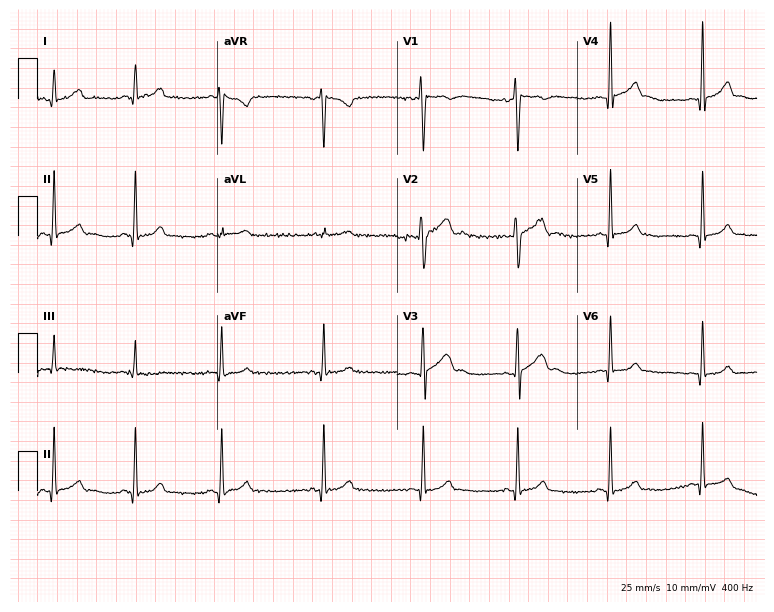
Electrocardiogram, a male, 23 years old. Overall reading on record: normal ECG.